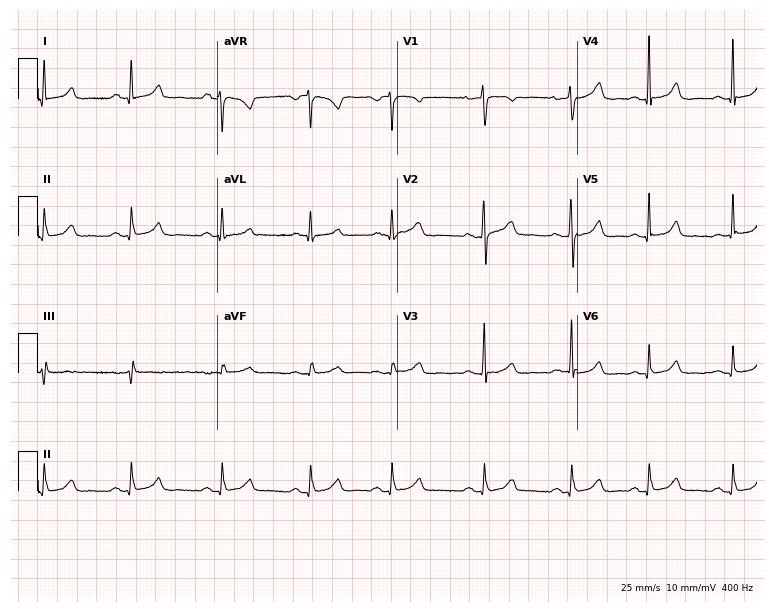
Resting 12-lead electrocardiogram (7.3-second recording at 400 Hz). Patient: a woman, 42 years old. Read as a normal ECG.